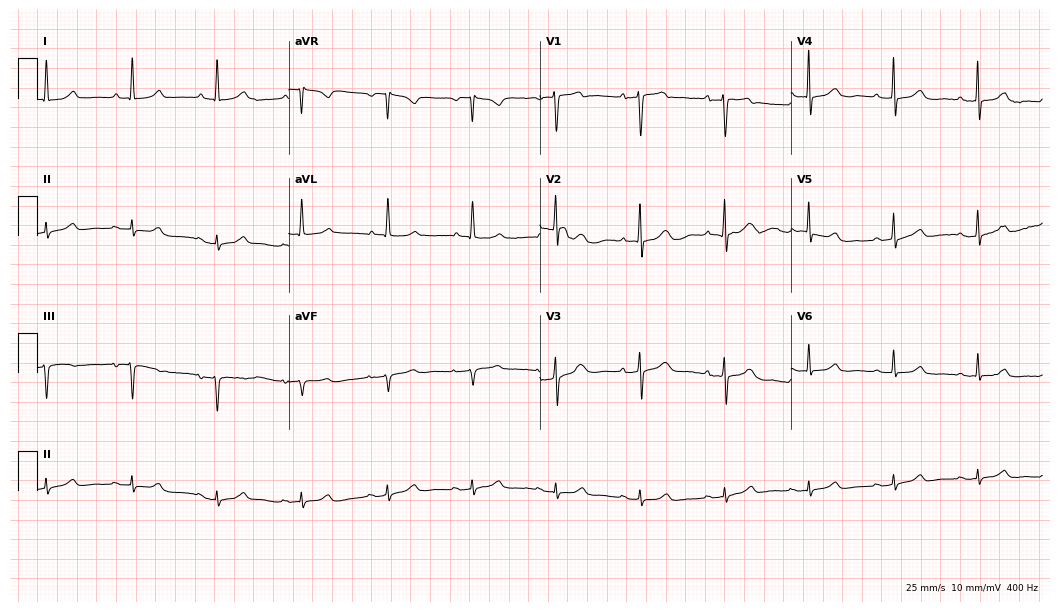
Standard 12-lead ECG recorded from a 73-year-old man. Read as a normal ECG.